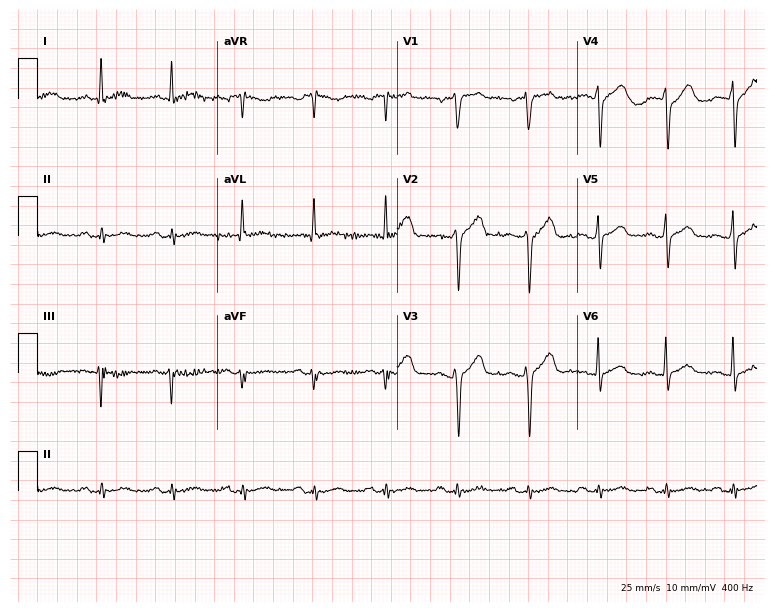
12-lead ECG (7.3-second recording at 400 Hz) from a 48-year-old male. Screened for six findings — first-degree AV block, right bundle branch block, left bundle branch block, sinus bradycardia, atrial fibrillation, sinus tachycardia — none is recorded.